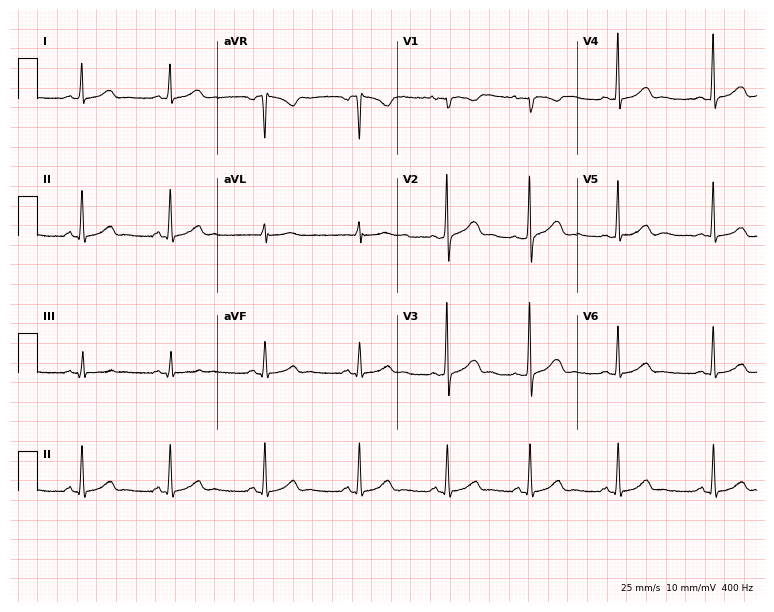
Electrocardiogram (7.3-second recording at 400 Hz), a 36-year-old female patient. Of the six screened findings (first-degree AV block, right bundle branch block, left bundle branch block, sinus bradycardia, atrial fibrillation, sinus tachycardia), none is recorded. Findings outside these six are not listed.